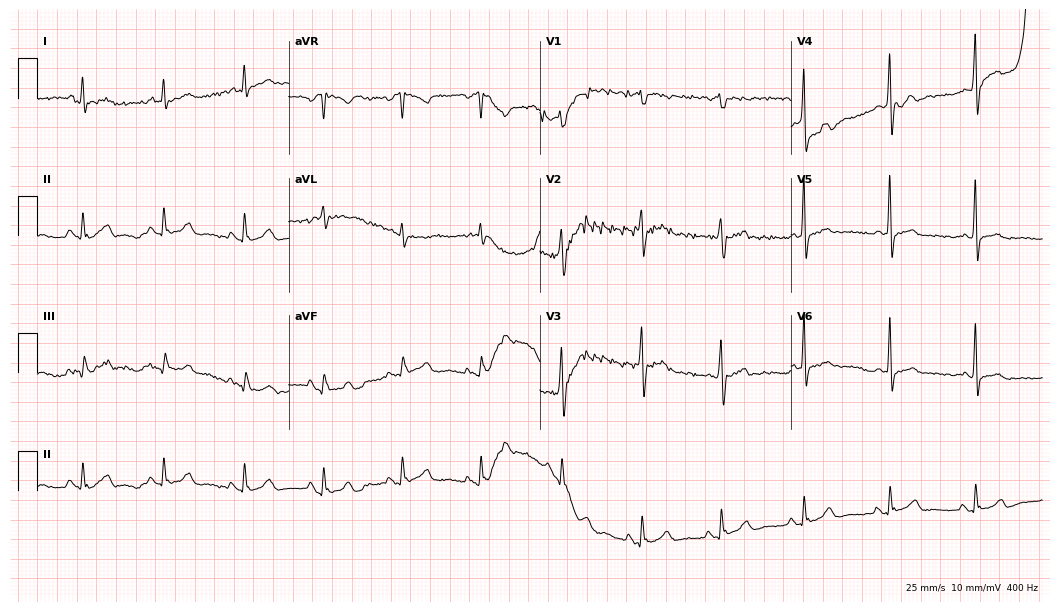
Resting 12-lead electrocardiogram (10.2-second recording at 400 Hz). Patient: a 66-year-old male. None of these six findings is recorded: first-degree AV block, right bundle branch block, left bundle branch block, sinus bradycardia, atrial fibrillation, sinus tachycardia.